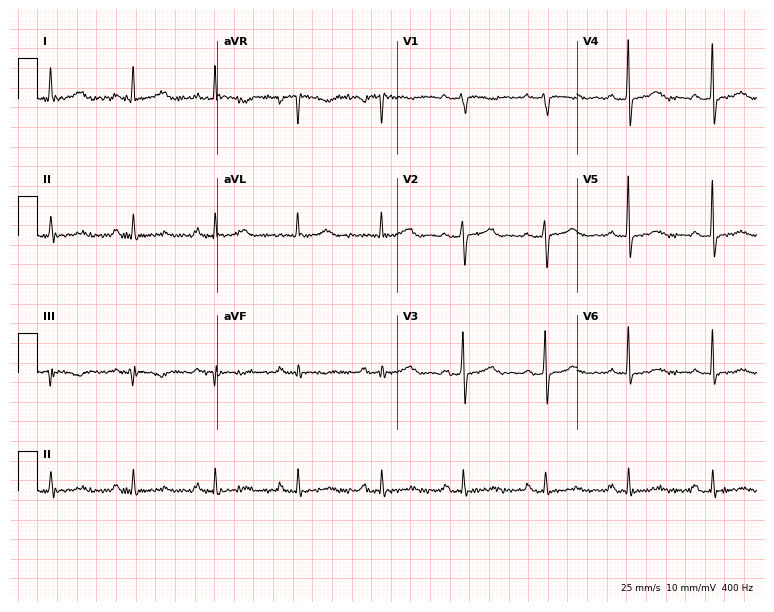
Standard 12-lead ECG recorded from a female, 53 years old. None of these six findings is recorded: first-degree AV block, right bundle branch block, left bundle branch block, sinus bradycardia, atrial fibrillation, sinus tachycardia.